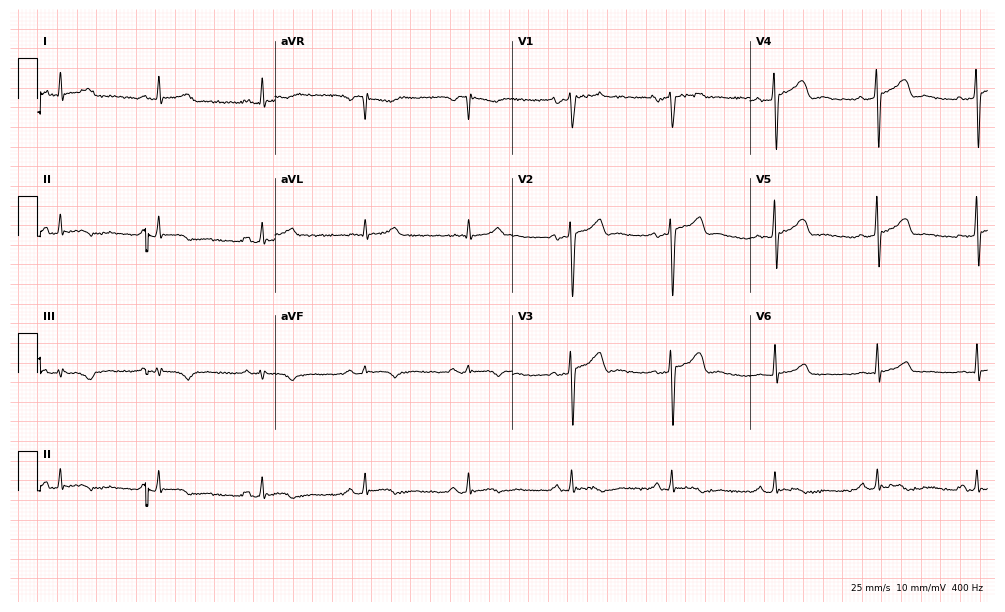
Standard 12-lead ECG recorded from a 36-year-old man. None of these six findings is recorded: first-degree AV block, right bundle branch block (RBBB), left bundle branch block (LBBB), sinus bradycardia, atrial fibrillation (AF), sinus tachycardia. Other findings, if any, are not listed.